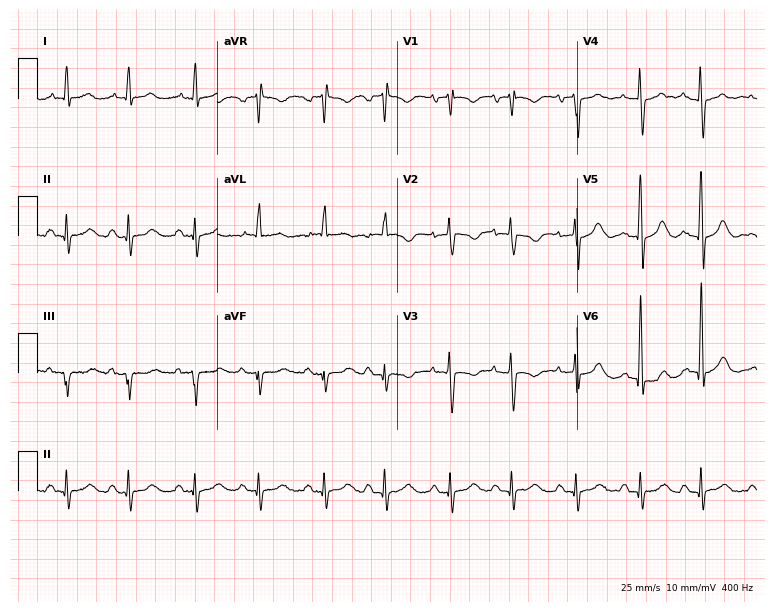
12-lead ECG (7.3-second recording at 400 Hz) from a 74-year-old woman. Screened for six findings — first-degree AV block, right bundle branch block, left bundle branch block, sinus bradycardia, atrial fibrillation, sinus tachycardia — none is recorded.